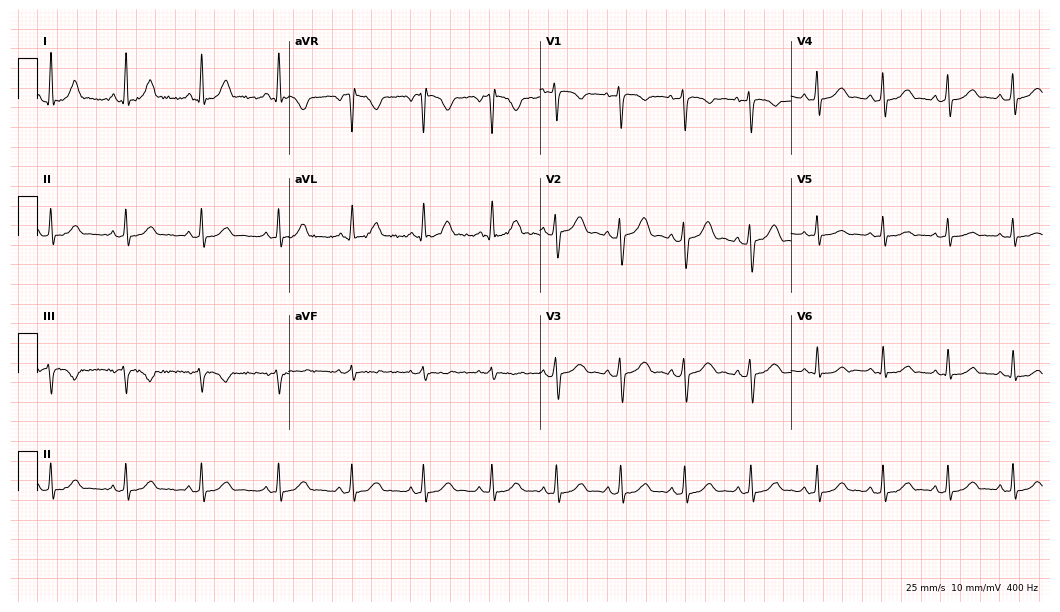
Electrocardiogram (10.2-second recording at 400 Hz), a 30-year-old female. Overall reading on record: normal ECG.